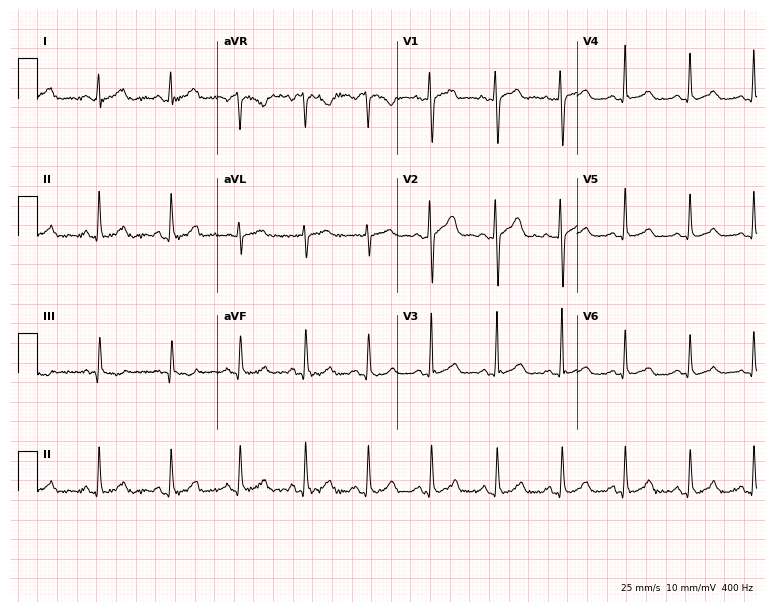
Standard 12-lead ECG recorded from a 35-year-old male. Read as a normal ECG.